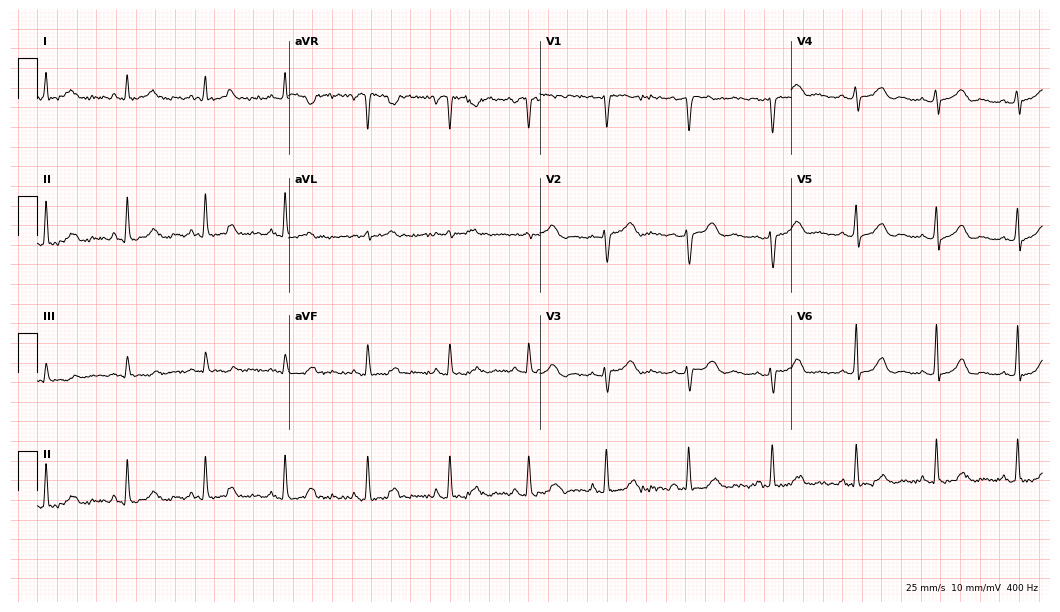
Standard 12-lead ECG recorded from a 45-year-old female patient (10.2-second recording at 400 Hz). Read as a normal ECG.